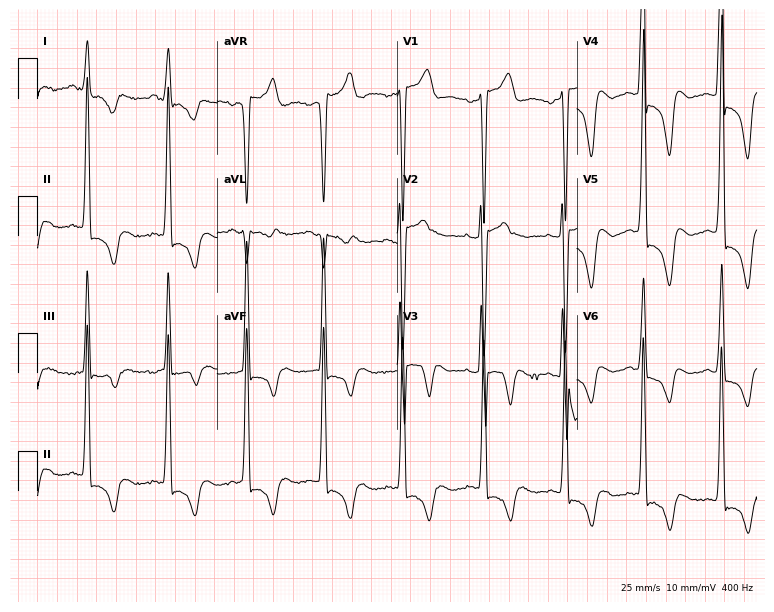
Resting 12-lead electrocardiogram. Patient: a 31-year-old male. None of these six findings is recorded: first-degree AV block, right bundle branch block, left bundle branch block, sinus bradycardia, atrial fibrillation, sinus tachycardia. Findings outside these six are not listed.